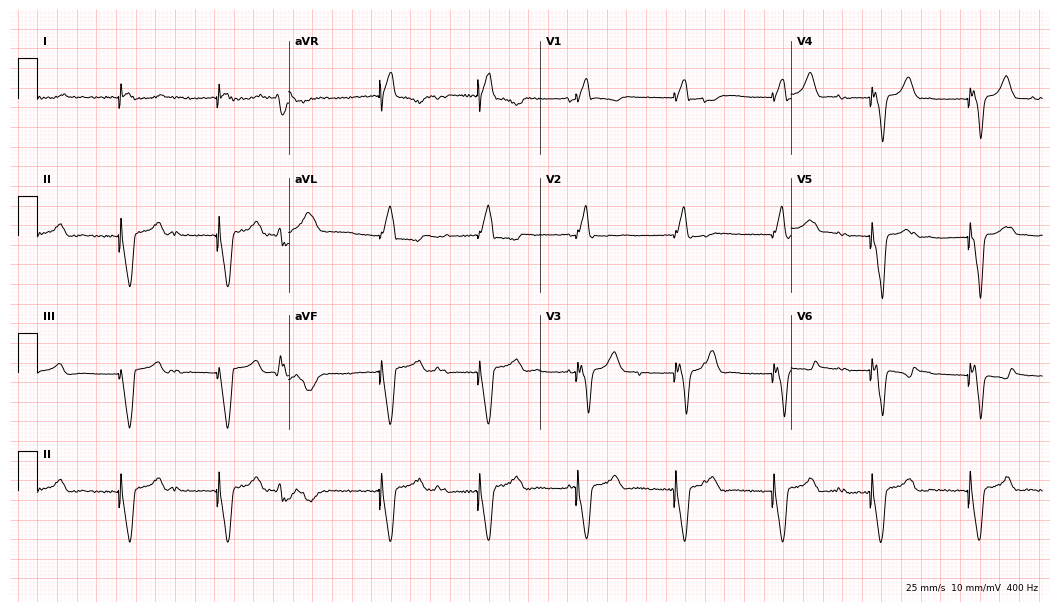
12-lead ECG from a 57-year-old male patient. Screened for six findings — first-degree AV block, right bundle branch block, left bundle branch block, sinus bradycardia, atrial fibrillation, sinus tachycardia — none is recorded. Findings outside these six are not listed.